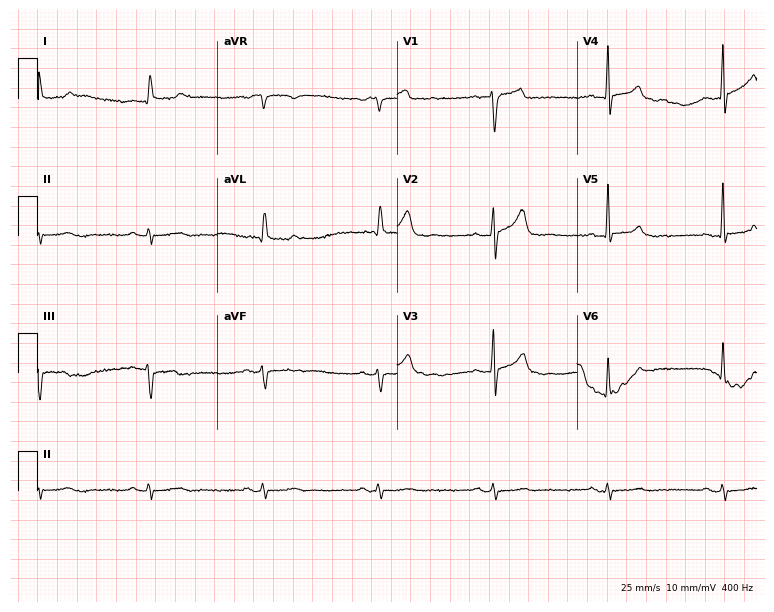
ECG (7.3-second recording at 400 Hz) — an 82-year-old male. Screened for six findings — first-degree AV block, right bundle branch block, left bundle branch block, sinus bradycardia, atrial fibrillation, sinus tachycardia — none is recorded. Only these six findings were labelled.